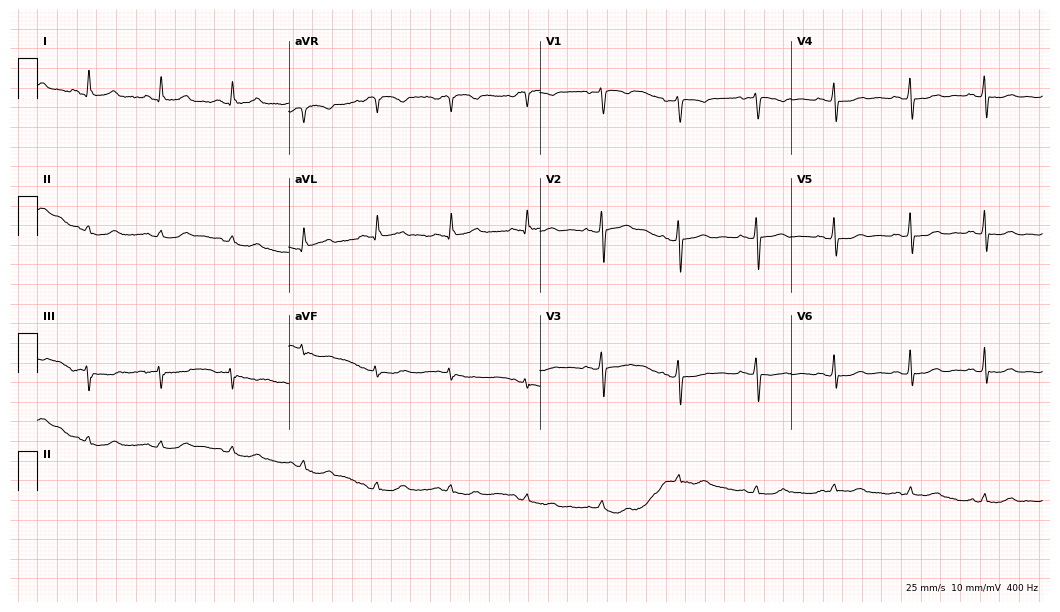
Electrocardiogram, a female, 54 years old. Of the six screened findings (first-degree AV block, right bundle branch block, left bundle branch block, sinus bradycardia, atrial fibrillation, sinus tachycardia), none is recorded.